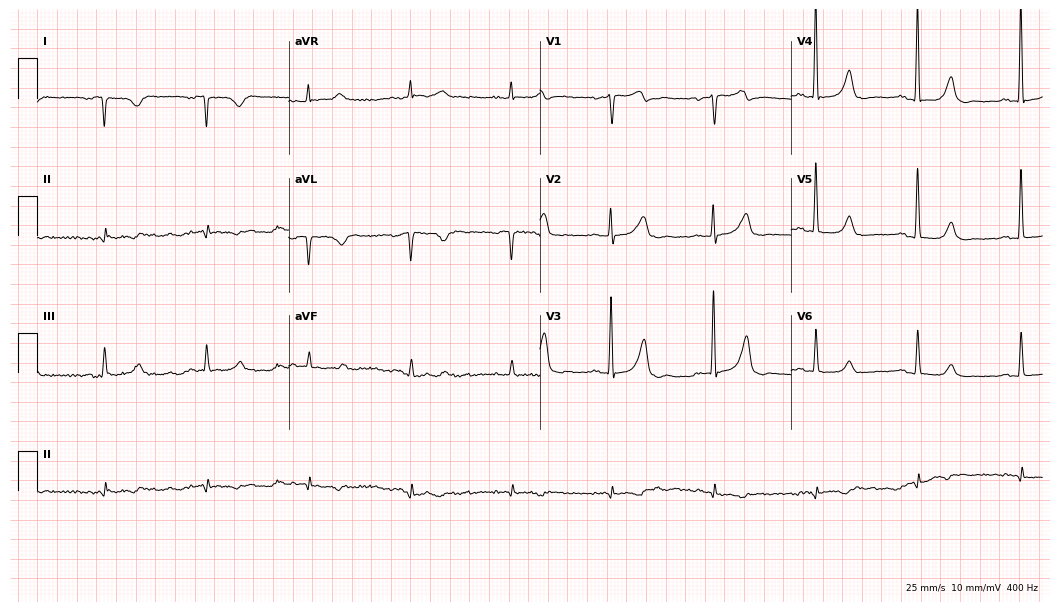
Electrocardiogram, a man, 85 years old. Of the six screened findings (first-degree AV block, right bundle branch block, left bundle branch block, sinus bradycardia, atrial fibrillation, sinus tachycardia), none is recorded. Findings outside these six are not listed.